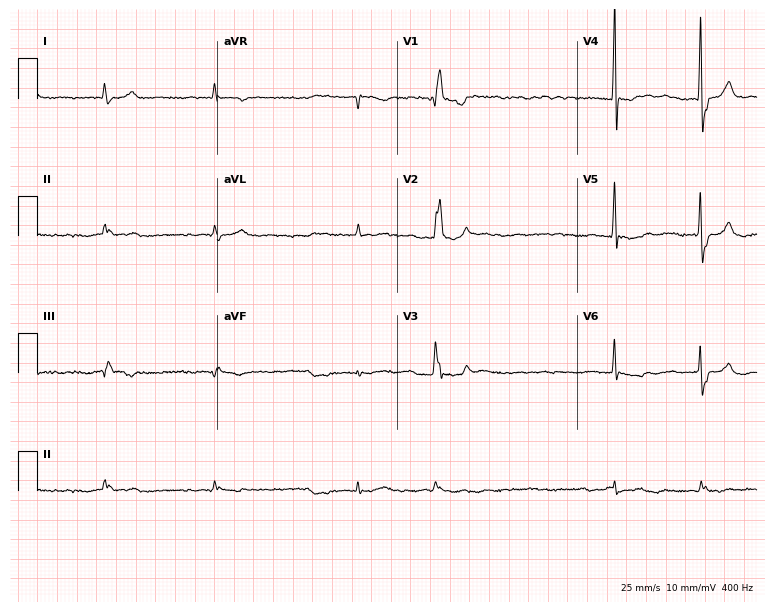
12-lead ECG from a male, 70 years old. Shows atrial fibrillation.